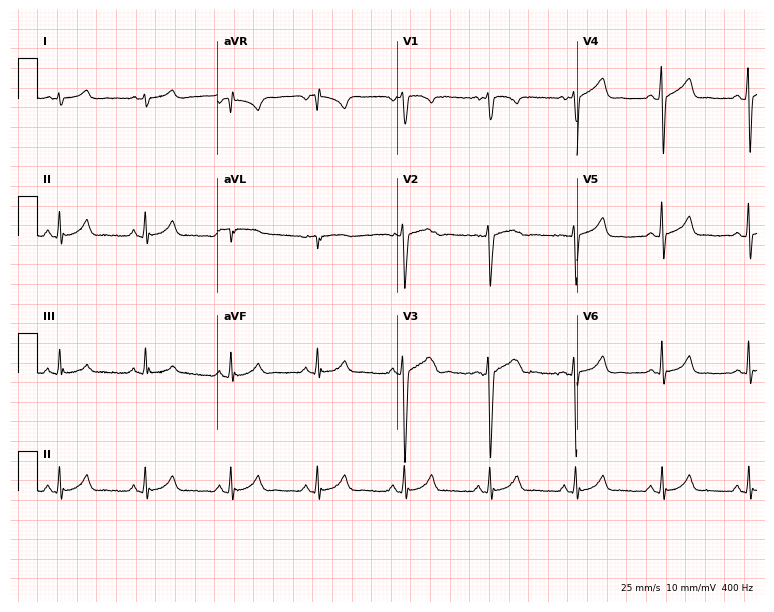
ECG (7.3-second recording at 400 Hz) — a man, 21 years old. Labelled as a normal ECG.